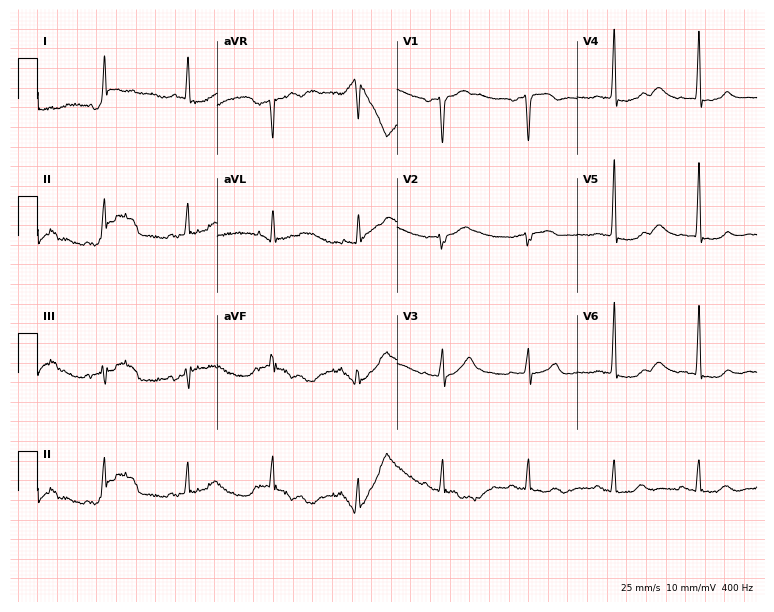
Standard 12-lead ECG recorded from a man, 82 years old (7.3-second recording at 400 Hz). None of these six findings is recorded: first-degree AV block, right bundle branch block (RBBB), left bundle branch block (LBBB), sinus bradycardia, atrial fibrillation (AF), sinus tachycardia.